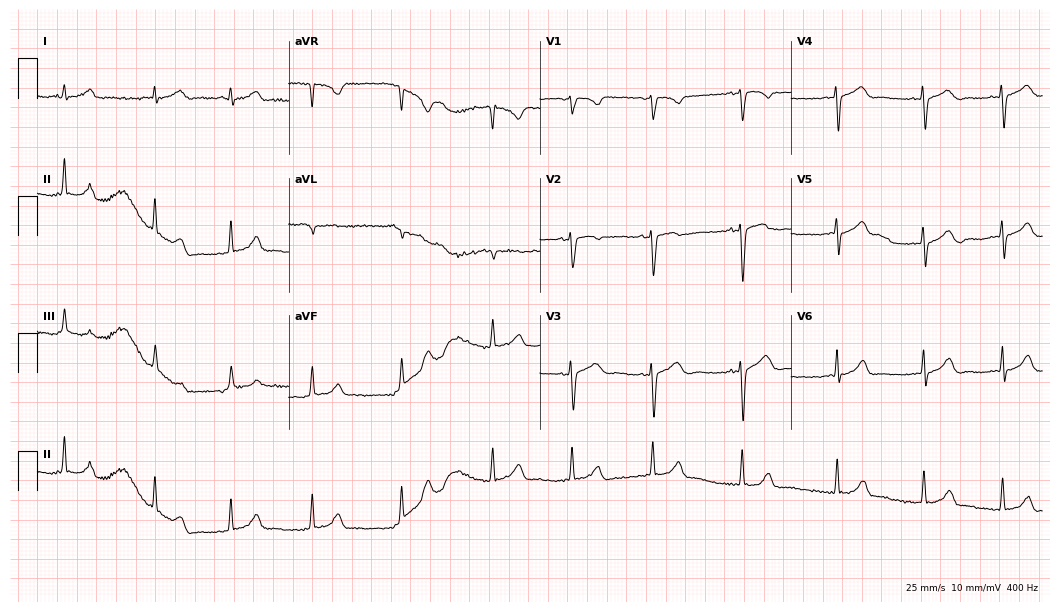
Resting 12-lead electrocardiogram. Patient: a woman, 27 years old. Read as a normal ECG.